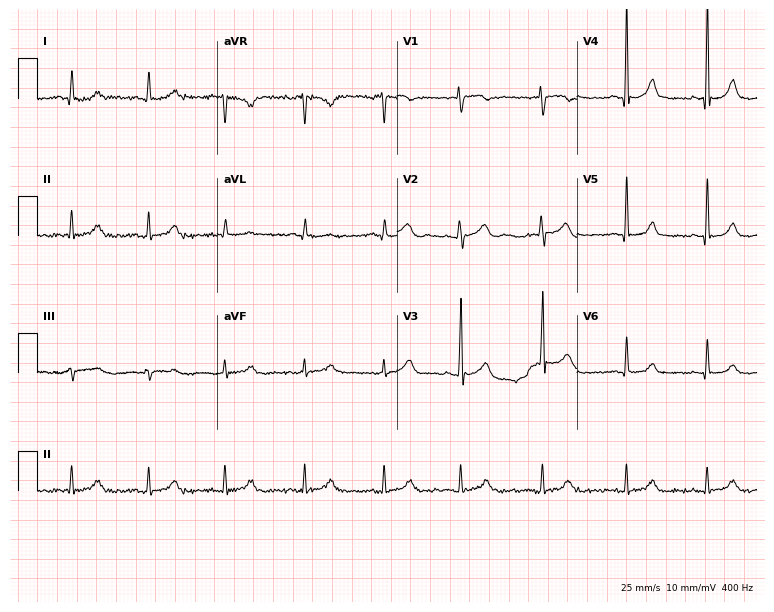
ECG (7.3-second recording at 400 Hz) — a woman, 42 years old. Labelled as a normal ECG.